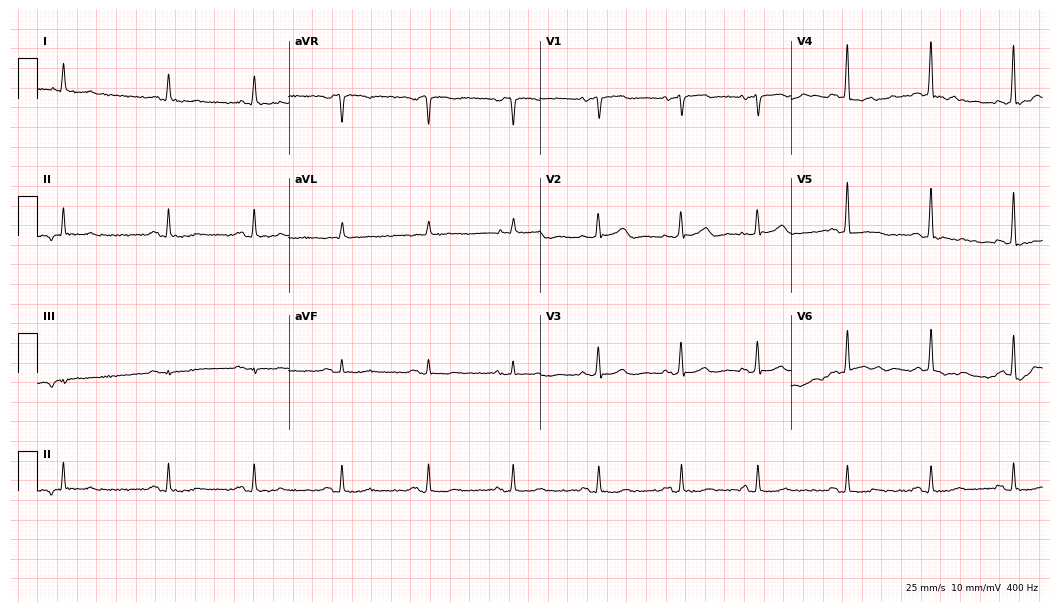
12-lead ECG from a 79-year-old man (10.2-second recording at 400 Hz). No first-degree AV block, right bundle branch block (RBBB), left bundle branch block (LBBB), sinus bradycardia, atrial fibrillation (AF) or sinus tachycardia recorded for this tracing.